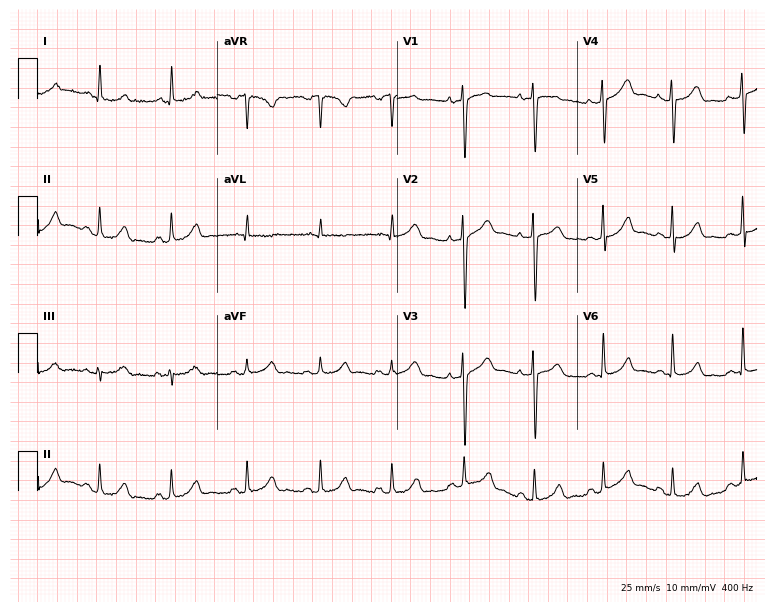
Resting 12-lead electrocardiogram (7.3-second recording at 400 Hz). Patient: a 46-year-old female. None of these six findings is recorded: first-degree AV block, right bundle branch block, left bundle branch block, sinus bradycardia, atrial fibrillation, sinus tachycardia.